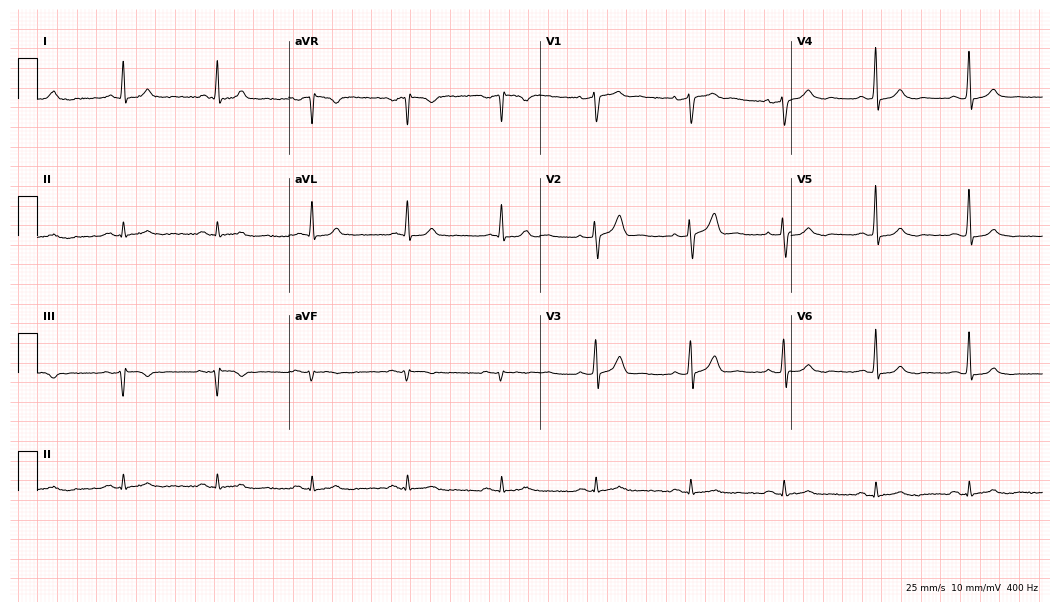
ECG (10.2-second recording at 400 Hz) — a 52-year-old man. Screened for six findings — first-degree AV block, right bundle branch block, left bundle branch block, sinus bradycardia, atrial fibrillation, sinus tachycardia — none is recorded. Only these six findings were labelled.